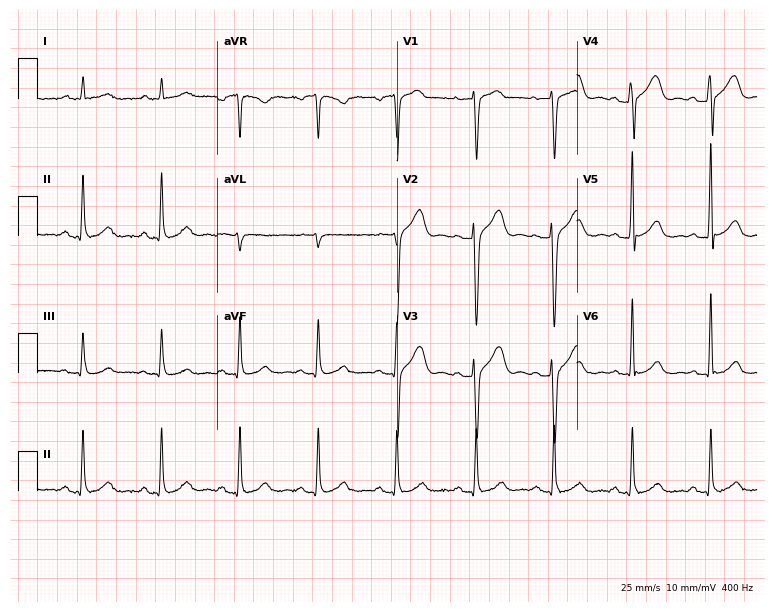
Standard 12-lead ECG recorded from a 62-year-old male (7.3-second recording at 400 Hz). Read as a normal ECG.